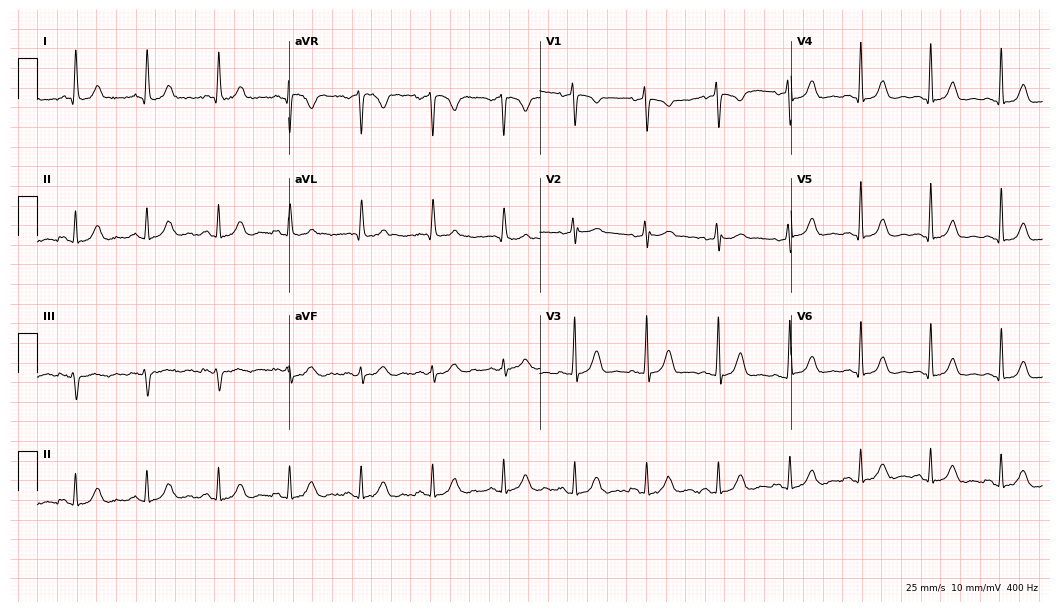
12-lead ECG from a female, 58 years old (10.2-second recording at 400 Hz). Recorded interpretation: within normal limits.